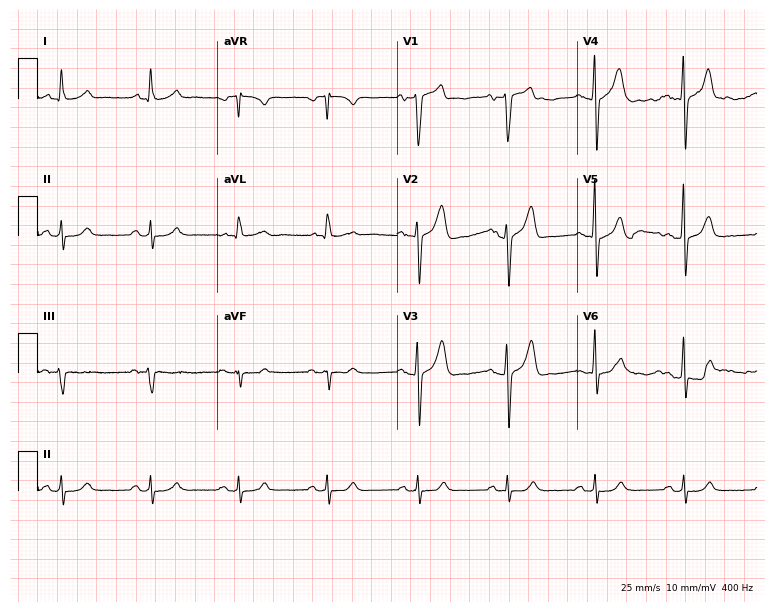
Electrocardiogram (7.3-second recording at 400 Hz), a 57-year-old male patient. Overall reading on record: normal ECG.